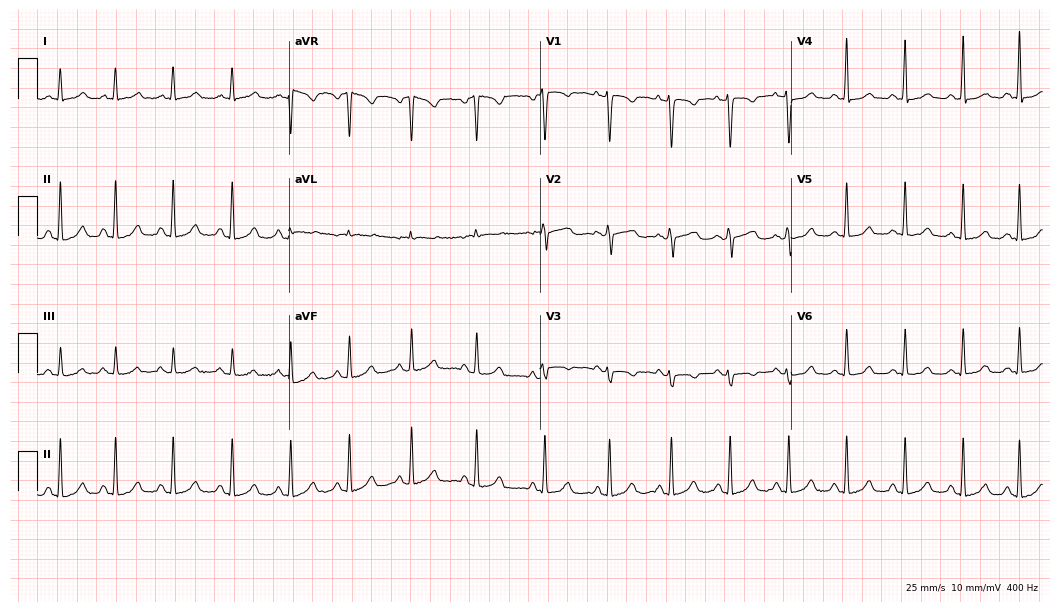
Resting 12-lead electrocardiogram. Patient: a 36-year-old woman. Read as a normal ECG.